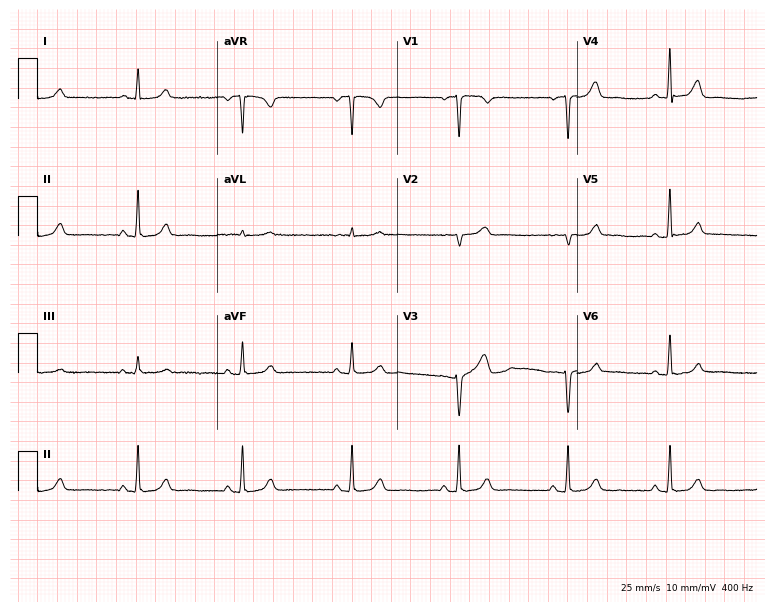
ECG — a 49-year-old female. Labelled as a normal ECG.